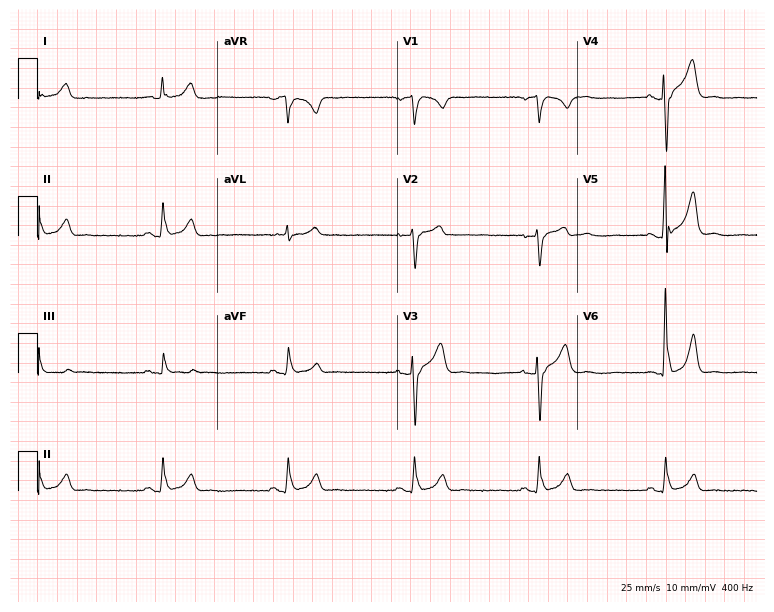
12-lead ECG (7.3-second recording at 400 Hz) from a man, 43 years old. Screened for six findings — first-degree AV block, right bundle branch block, left bundle branch block, sinus bradycardia, atrial fibrillation, sinus tachycardia — none is recorded. Other findings, if any, are not listed.